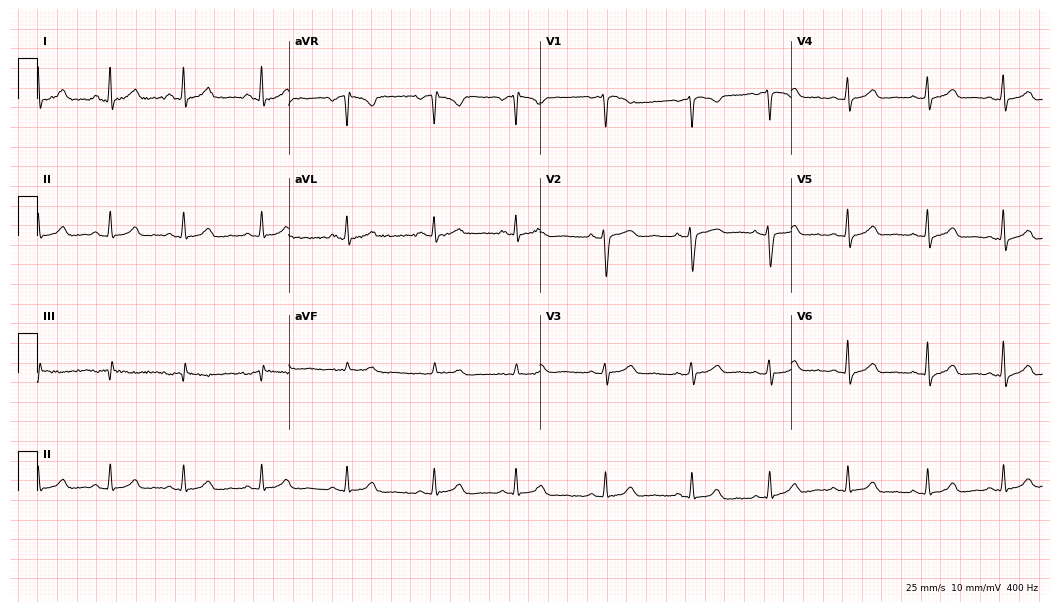
12-lead ECG from a 33-year-old female patient. Labelled as a normal ECG.